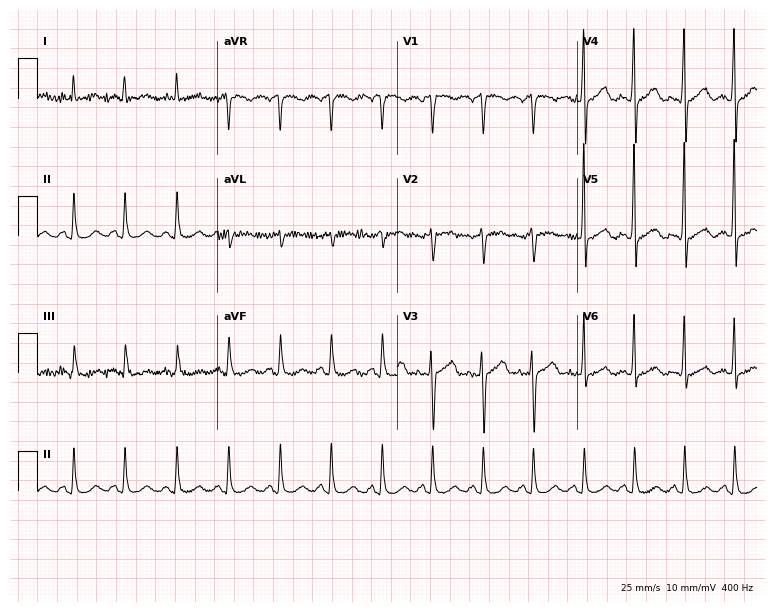
ECG (7.3-second recording at 400 Hz) — a 66-year-old female. Findings include sinus tachycardia (a sinus rate of 100 beats per minute or more).